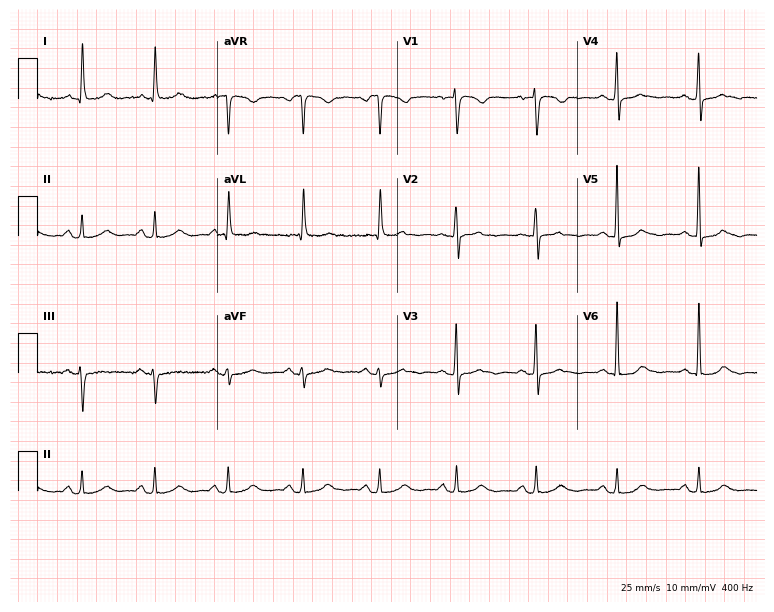
Standard 12-lead ECG recorded from a woman, 65 years old (7.3-second recording at 400 Hz). None of these six findings is recorded: first-degree AV block, right bundle branch block (RBBB), left bundle branch block (LBBB), sinus bradycardia, atrial fibrillation (AF), sinus tachycardia. Only these six findings were labelled.